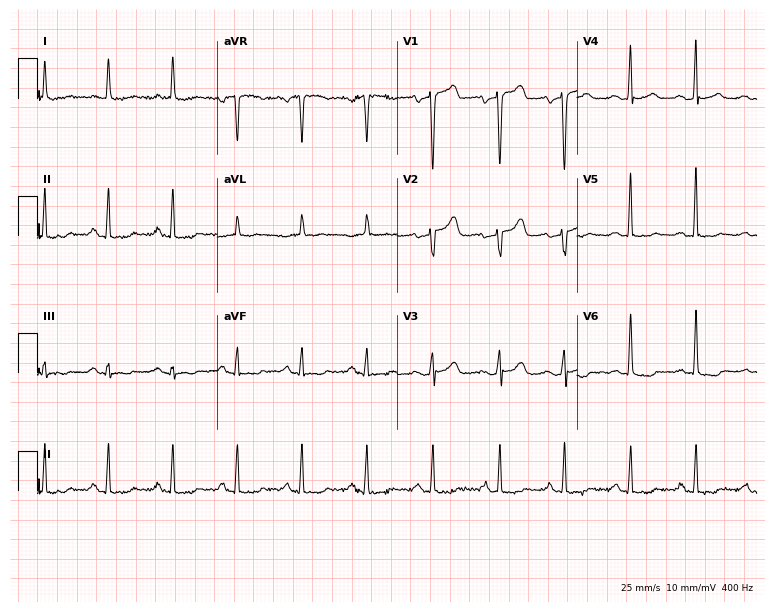
Resting 12-lead electrocardiogram. Patient: a 58-year-old female. None of these six findings is recorded: first-degree AV block, right bundle branch block, left bundle branch block, sinus bradycardia, atrial fibrillation, sinus tachycardia.